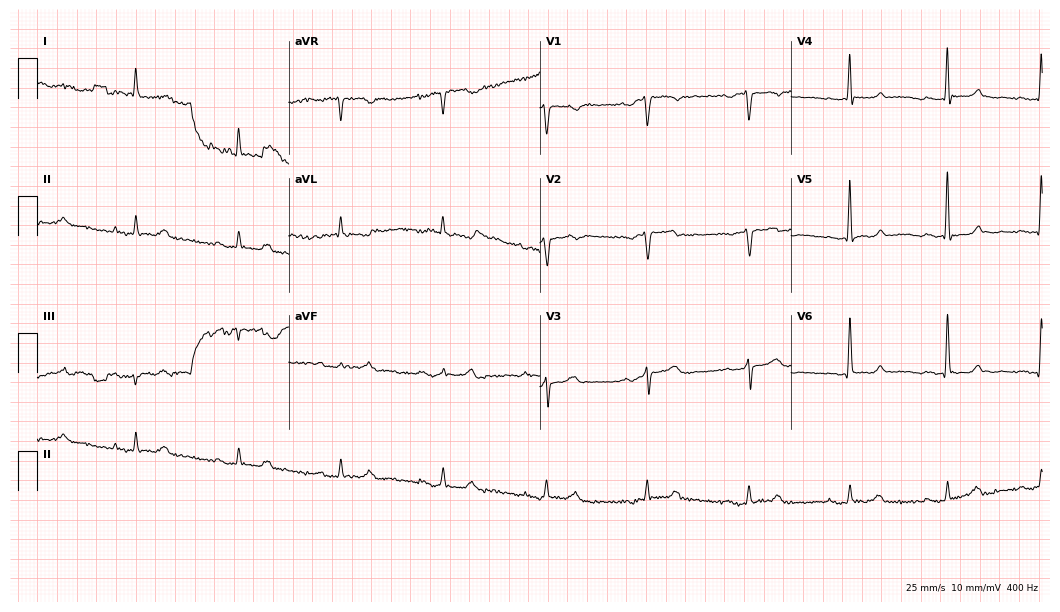
Resting 12-lead electrocardiogram. Patient: an 83-year-old female. None of these six findings is recorded: first-degree AV block, right bundle branch block, left bundle branch block, sinus bradycardia, atrial fibrillation, sinus tachycardia. Only these six findings were labelled.